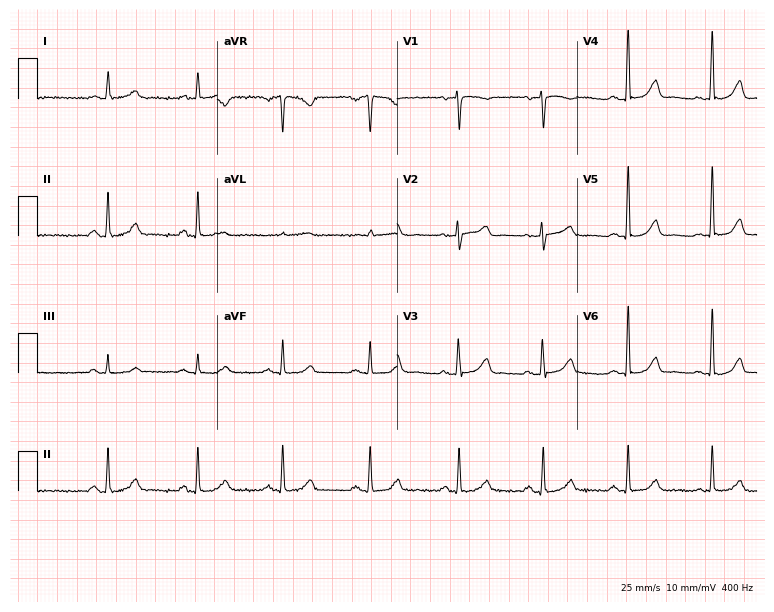
Standard 12-lead ECG recorded from a female patient, 50 years old. None of these six findings is recorded: first-degree AV block, right bundle branch block, left bundle branch block, sinus bradycardia, atrial fibrillation, sinus tachycardia. Only these six findings were labelled.